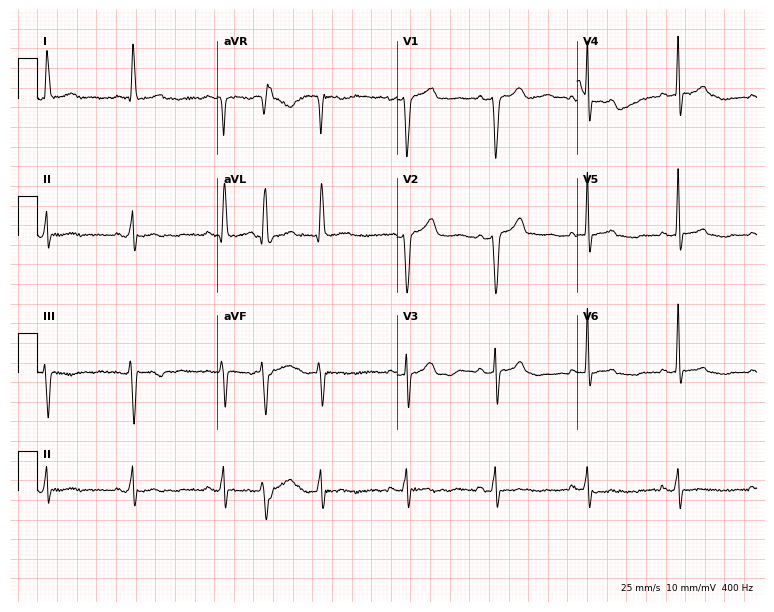
12-lead ECG from a 72-year-old female (7.3-second recording at 400 Hz). No first-degree AV block, right bundle branch block (RBBB), left bundle branch block (LBBB), sinus bradycardia, atrial fibrillation (AF) or sinus tachycardia recorded for this tracing.